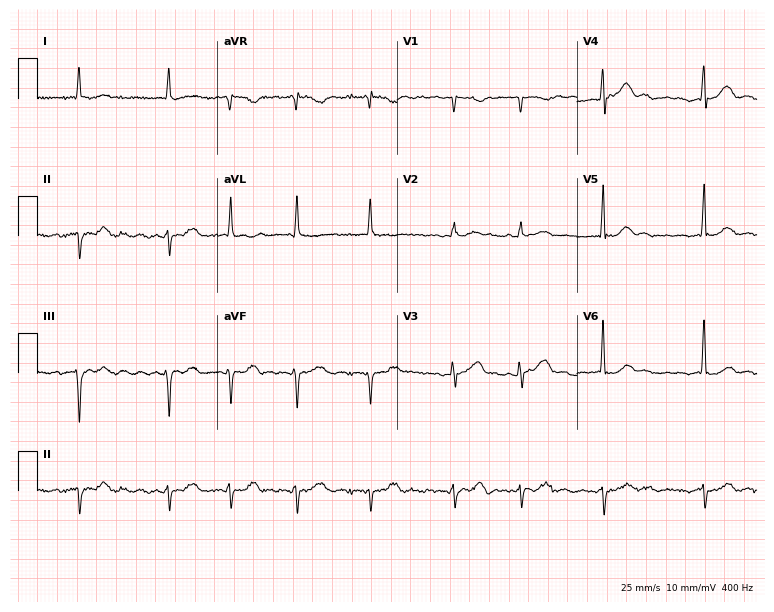
12-lead ECG from an 85-year-old man (7.3-second recording at 400 Hz). No first-degree AV block, right bundle branch block (RBBB), left bundle branch block (LBBB), sinus bradycardia, atrial fibrillation (AF) or sinus tachycardia recorded for this tracing.